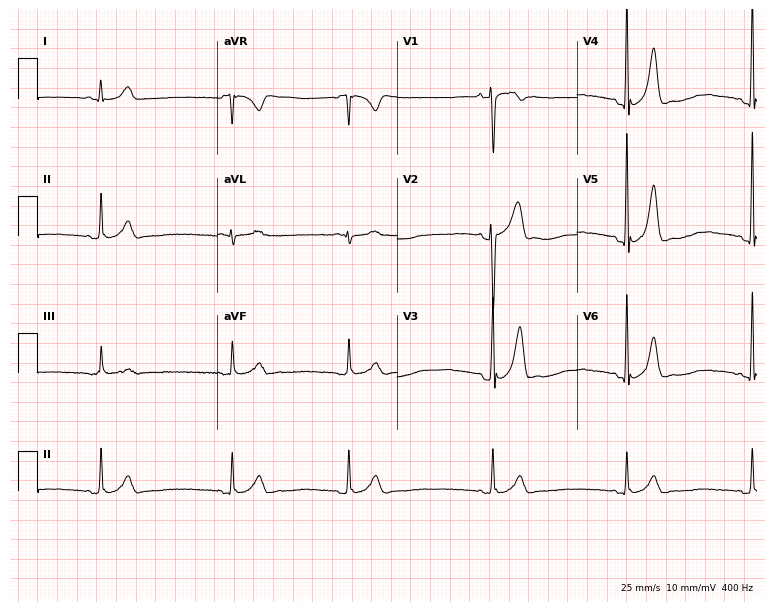
Standard 12-lead ECG recorded from a man, 24 years old (7.3-second recording at 400 Hz). The tracing shows sinus bradycardia (a sinus rate of 50 beats per minute or less).